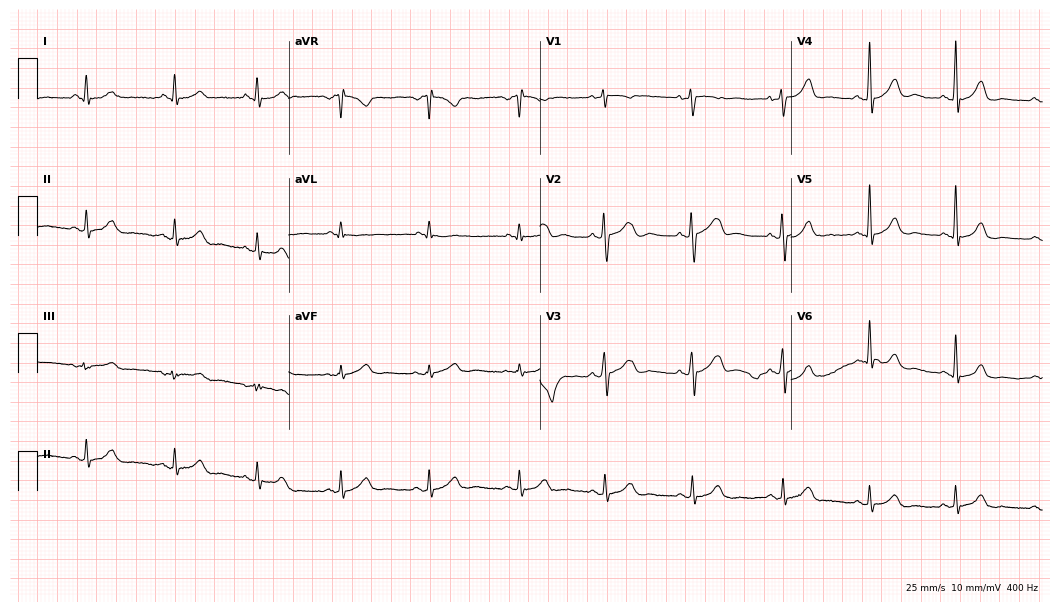
12-lead ECG (10.2-second recording at 400 Hz) from a male patient, 59 years old. Labelled as a normal ECG.